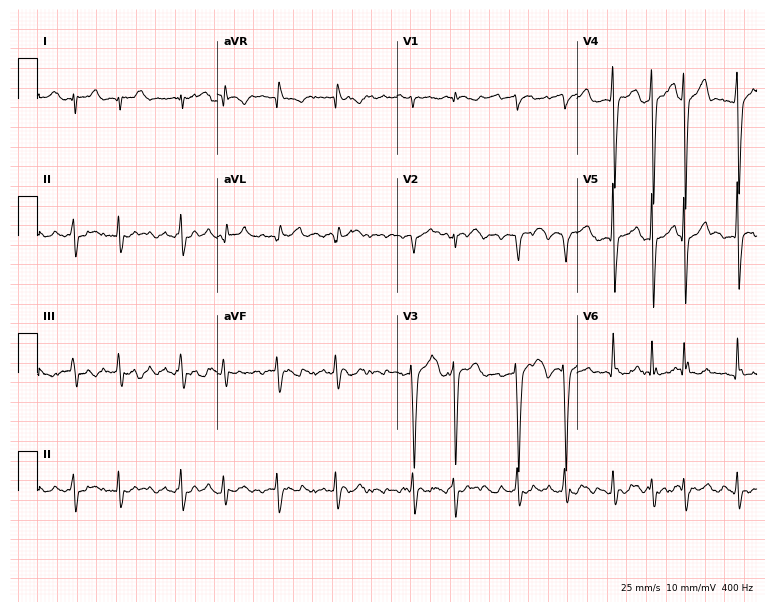
Standard 12-lead ECG recorded from a 60-year-old male patient. None of these six findings is recorded: first-degree AV block, right bundle branch block, left bundle branch block, sinus bradycardia, atrial fibrillation, sinus tachycardia.